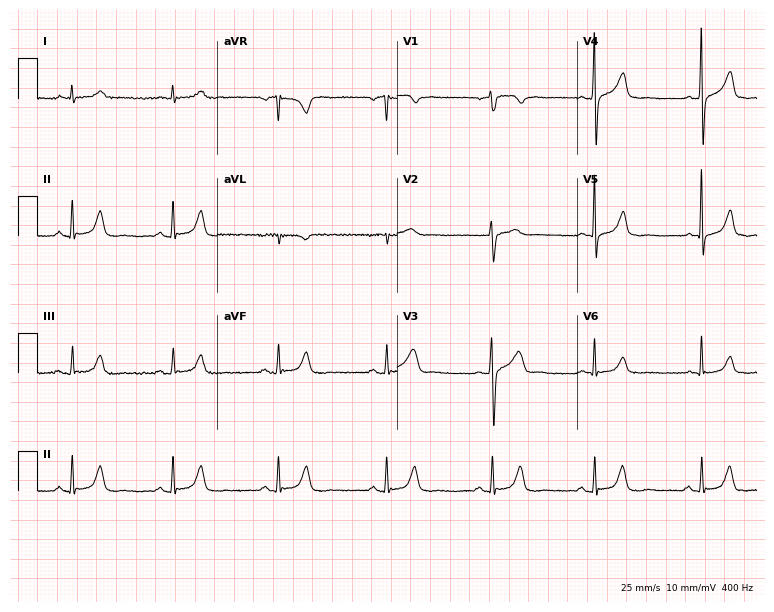
ECG (7.3-second recording at 400 Hz) — a man, 62 years old. Labelled as a normal ECG.